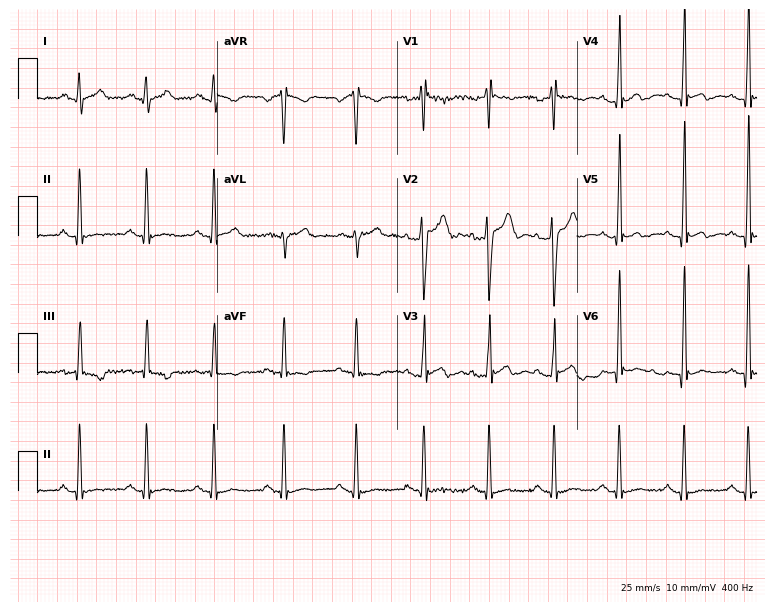
Electrocardiogram, a 20-year-old male patient. Of the six screened findings (first-degree AV block, right bundle branch block (RBBB), left bundle branch block (LBBB), sinus bradycardia, atrial fibrillation (AF), sinus tachycardia), none is recorded.